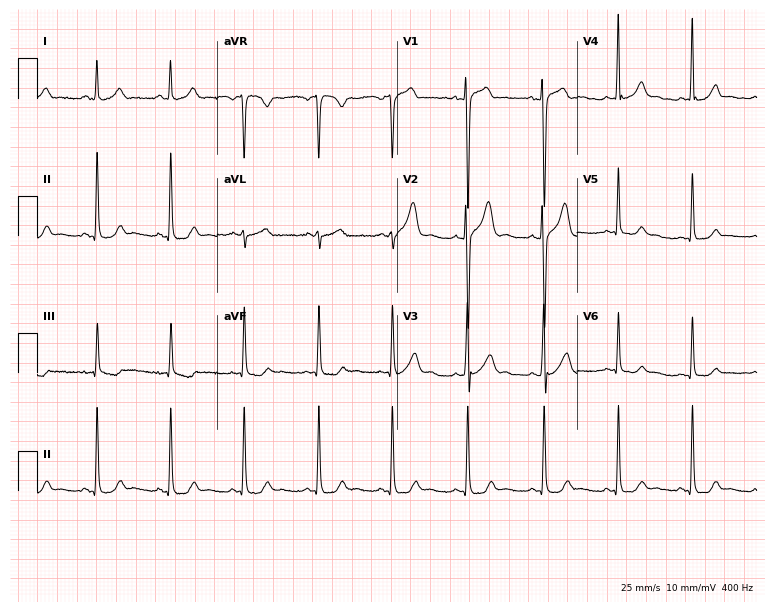
Electrocardiogram (7.3-second recording at 400 Hz), a male patient, 27 years old. Overall reading on record: normal ECG.